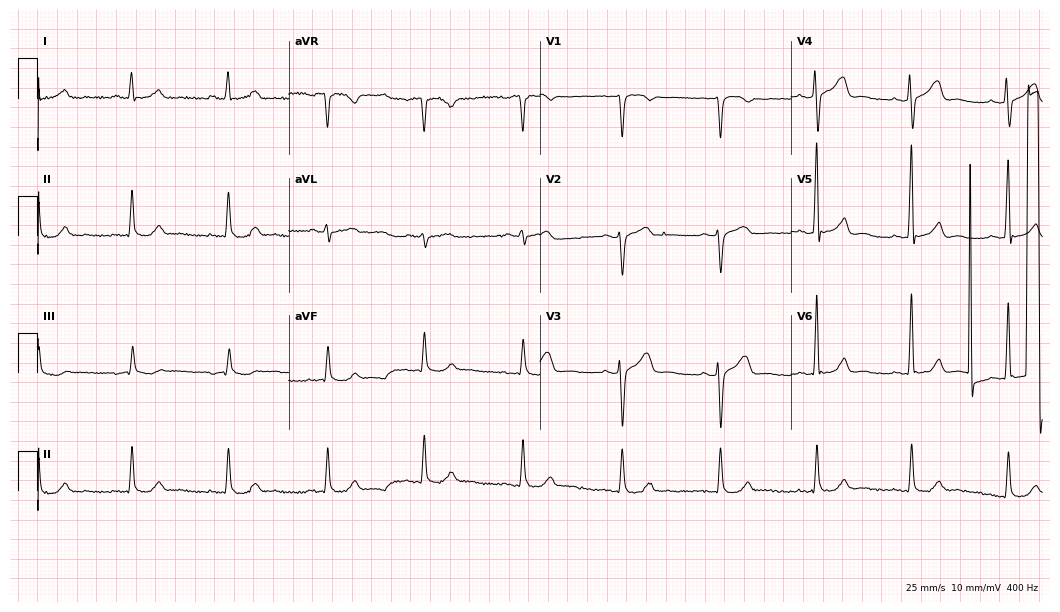
ECG — a male, 57 years old. Labelled as a normal ECG.